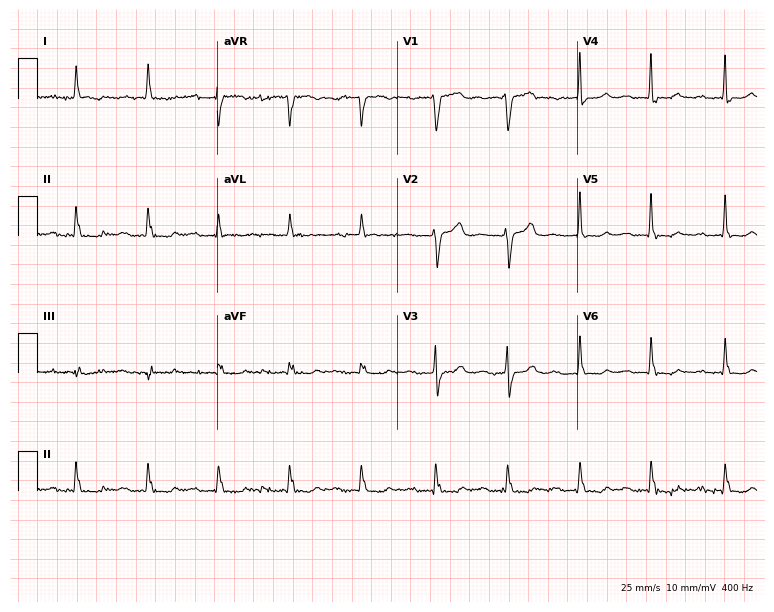
Electrocardiogram (7.3-second recording at 400 Hz), an 82-year-old female. Interpretation includes first-degree AV block.